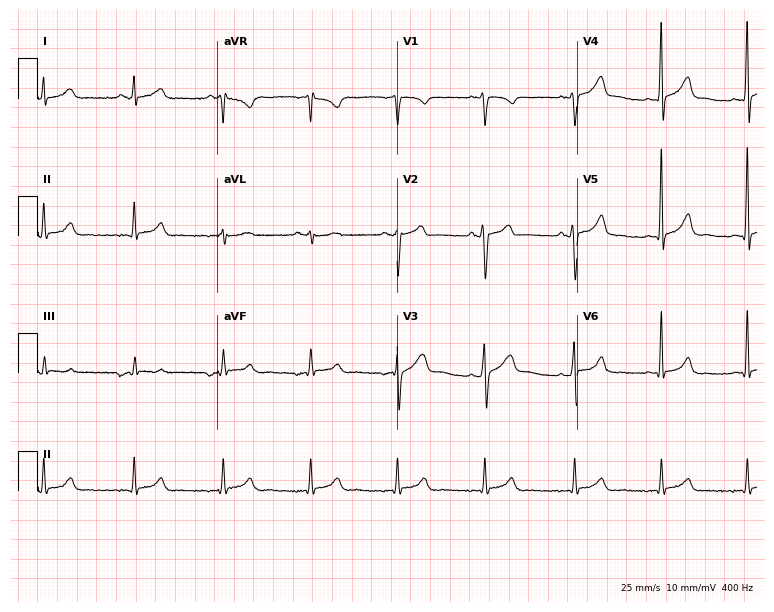
Resting 12-lead electrocardiogram (7.3-second recording at 400 Hz). Patient: a 30-year-old male. Read as a normal ECG.